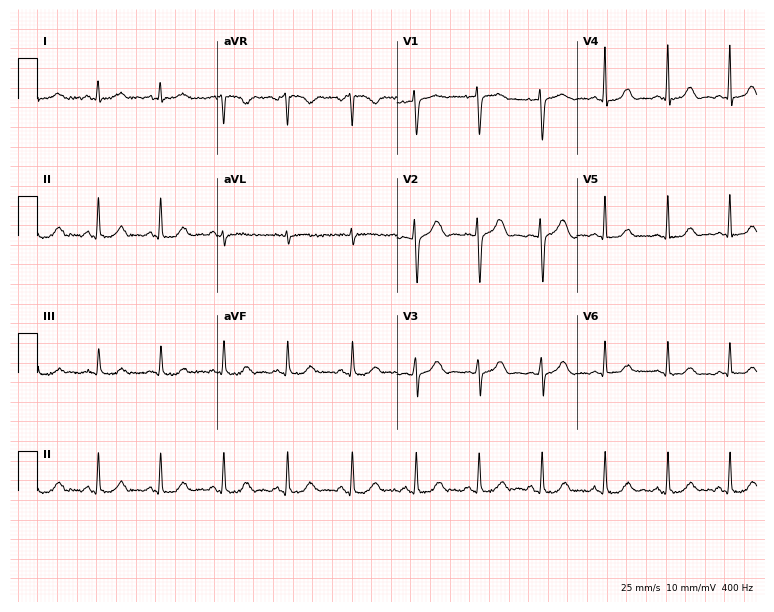
Standard 12-lead ECG recorded from a woman, 41 years old. Read as a normal ECG.